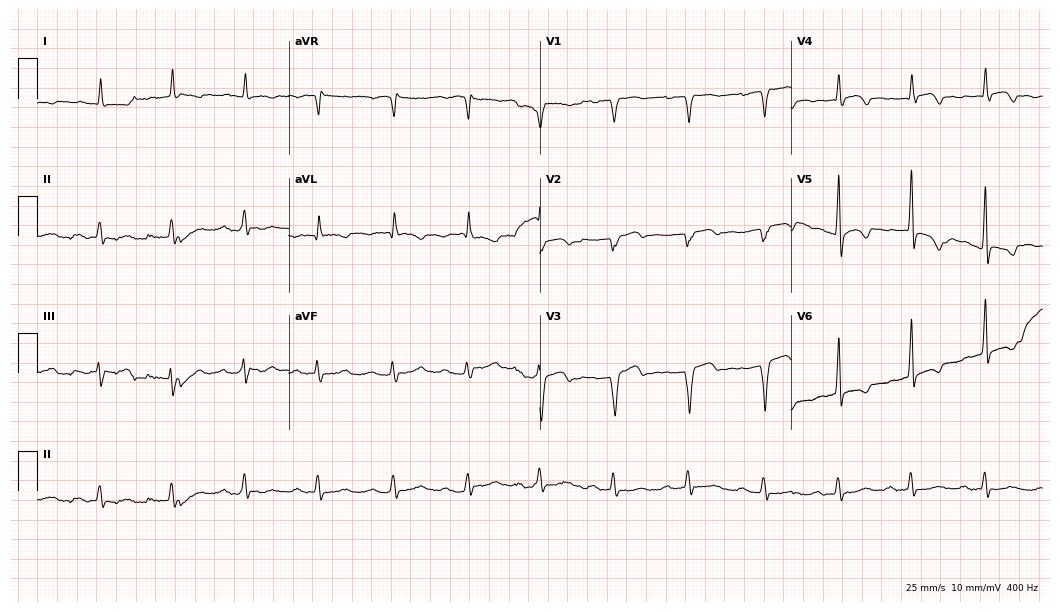
12-lead ECG from a woman, 85 years old (10.2-second recording at 400 Hz). No first-degree AV block, right bundle branch block, left bundle branch block, sinus bradycardia, atrial fibrillation or sinus tachycardia recorded for this tracing.